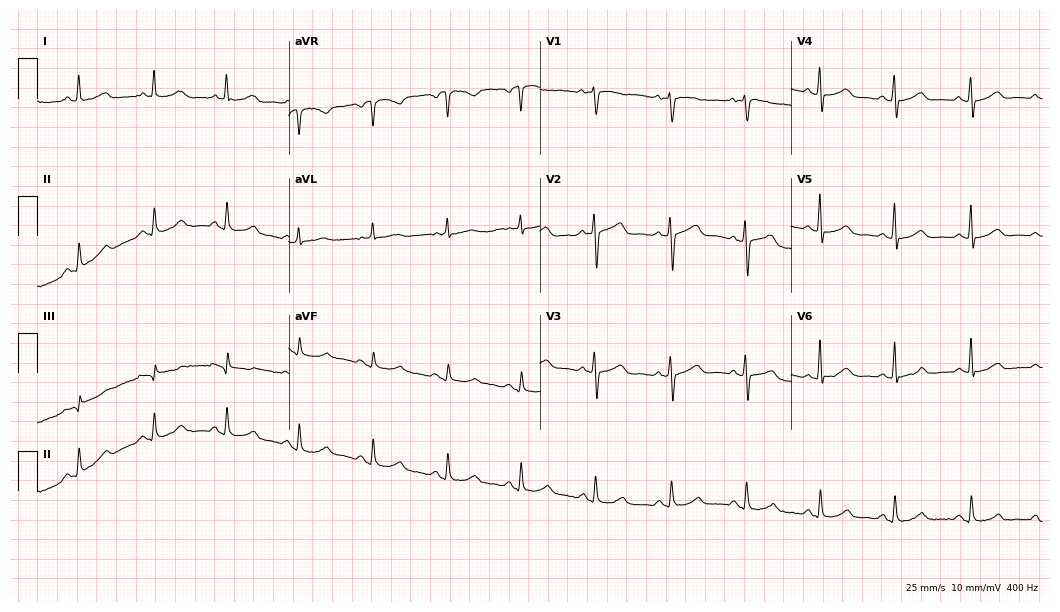
Resting 12-lead electrocardiogram (10.2-second recording at 400 Hz). Patient: a 52-year-old female. Read as a normal ECG.